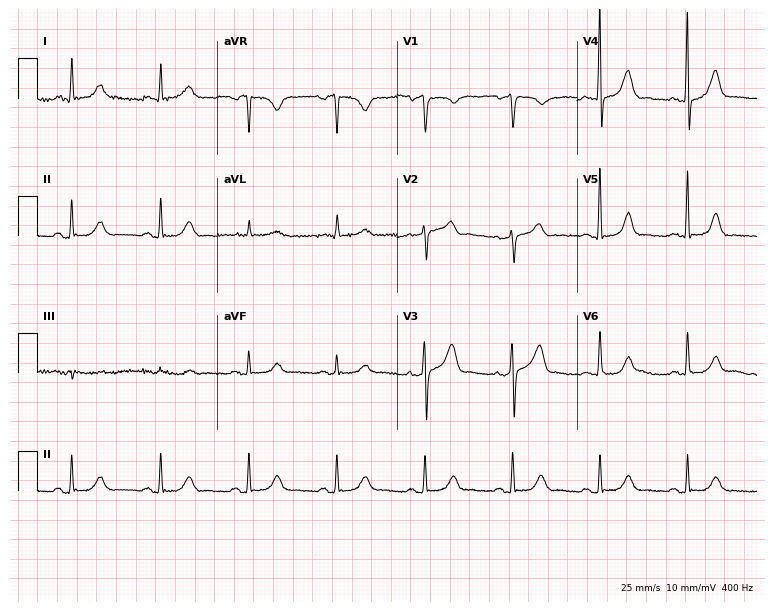
Resting 12-lead electrocardiogram (7.3-second recording at 400 Hz). Patient: a woman, 70 years old. Read as a normal ECG.